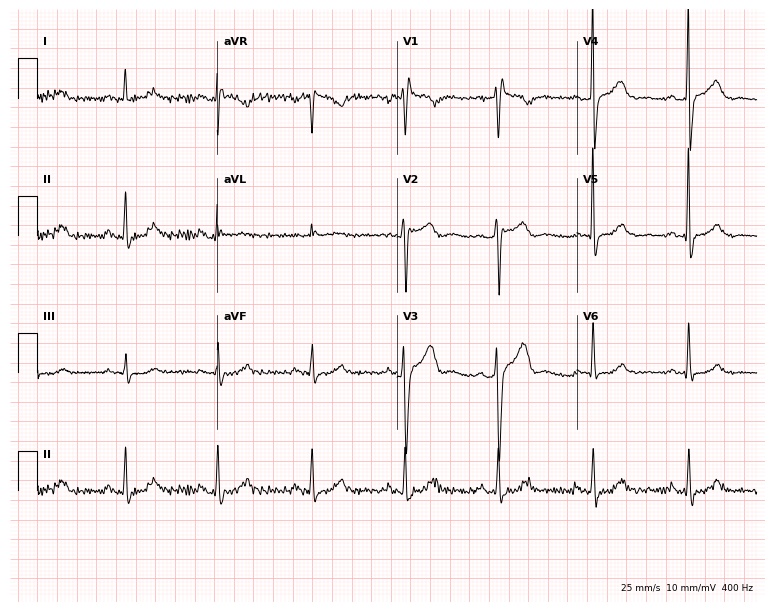
ECG — a 57-year-old male patient. Screened for six findings — first-degree AV block, right bundle branch block, left bundle branch block, sinus bradycardia, atrial fibrillation, sinus tachycardia — none is recorded. Other findings, if any, are not listed.